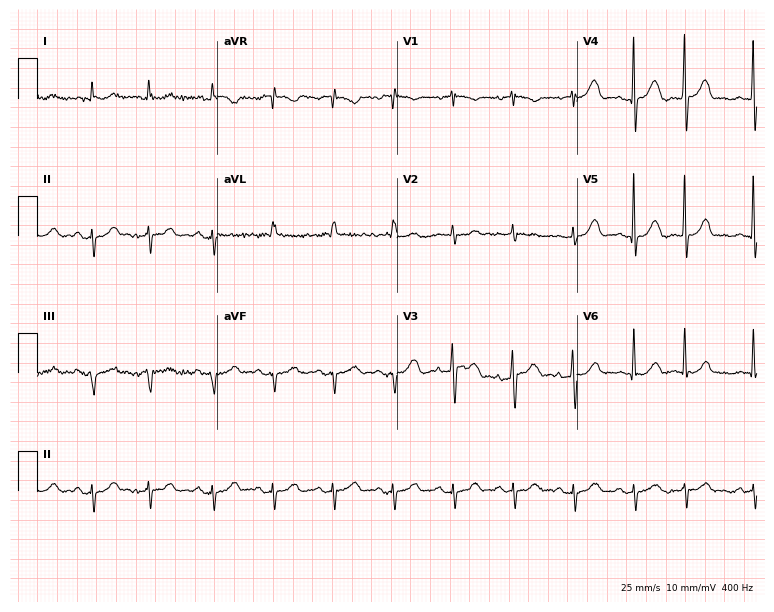
Standard 12-lead ECG recorded from a male patient, 85 years old. None of these six findings is recorded: first-degree AV block, right bundle branch block (RBBB), left bundle branch block (LBBB), sinus bradycardia, atrial fibrillation (AF), sinus tachycardia. Other findings, if any, are not listed.